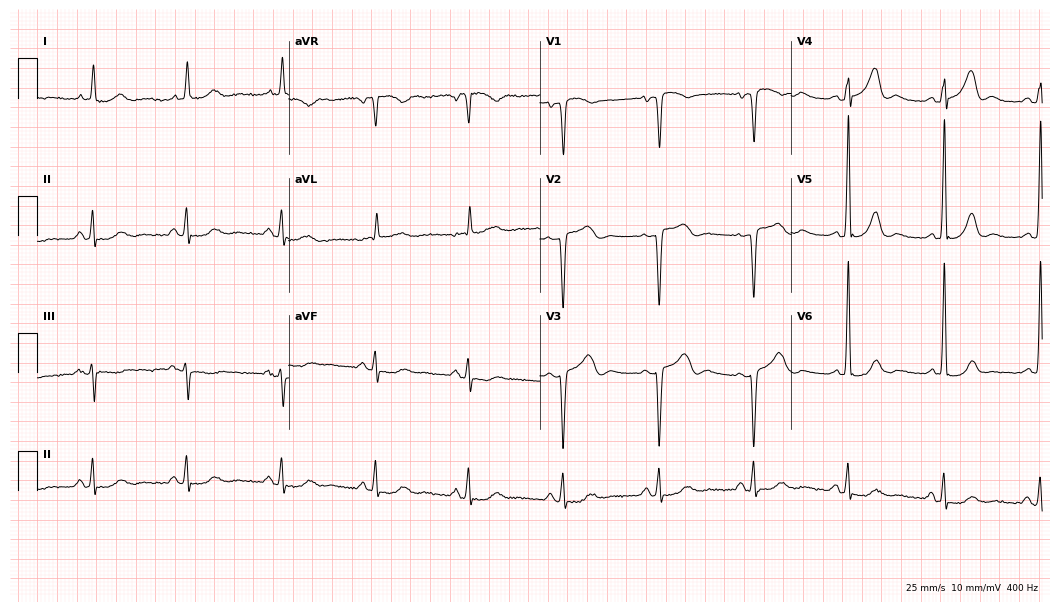
ECG (10.2-second recording at 400 Hz) — a woman, 61 years old. Screened for six findings — first-degree AV block, right bundle branch block, left bundle branch block, sinus bradycardia, atrial fibrillation, sinus tachycardia — none is recorded. Findings outside these six are not listed.